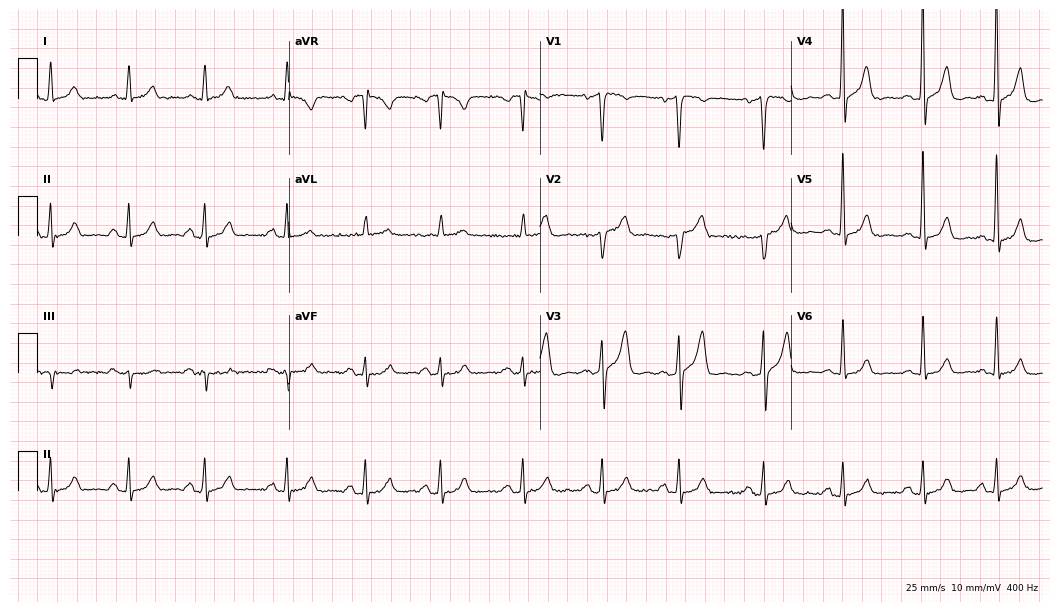
Electrocardiogram, a male, 60 years old. Of the six screened findings (first-degree AV block, right bundle branch block (RBBB), left bundle branch block (LBBB), sinus bradycardia, atrial fibrillation (AF), sinus tachycardia), none is recorded.